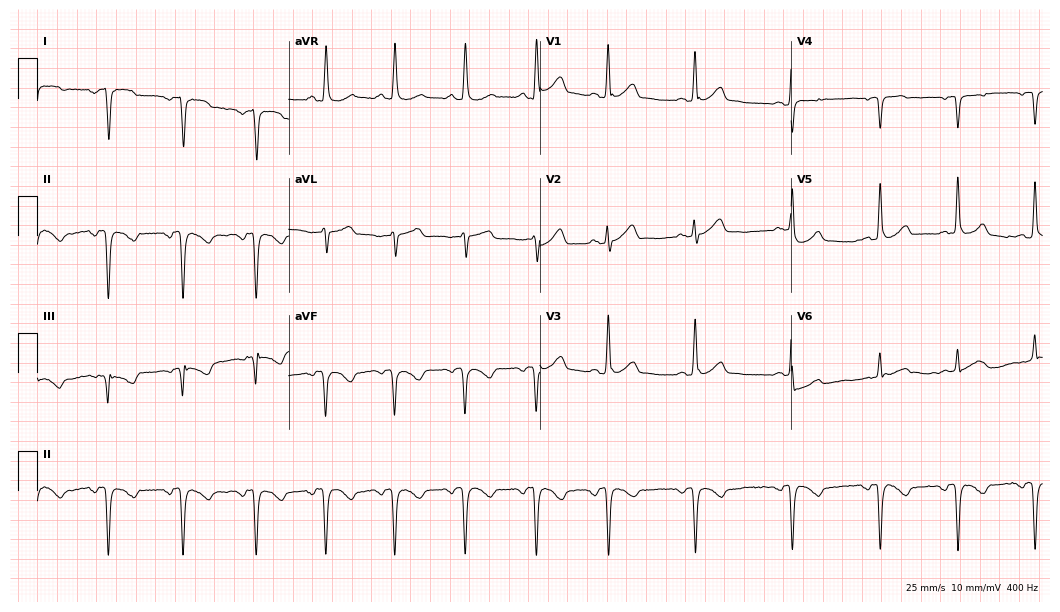
12-lead ECG from a male patient, 41 years old. Screened for six findings — first-degree AV block, right bundle branch block (RBBB), left bundle branch block (LBBB), sinus bradycardia, atrial fibrillation (AF), sinus tachycardia — none is recorded.